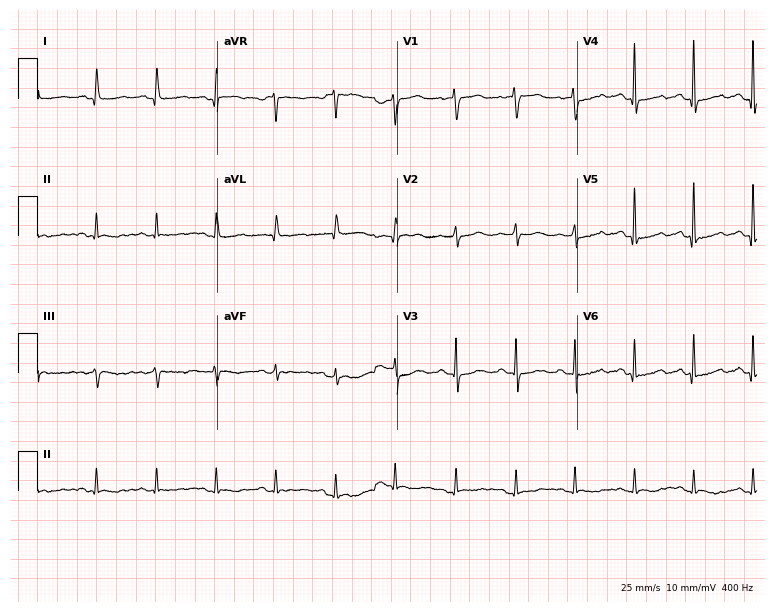
ECG — a 68-year-old man. Labelled as a normal ECG.